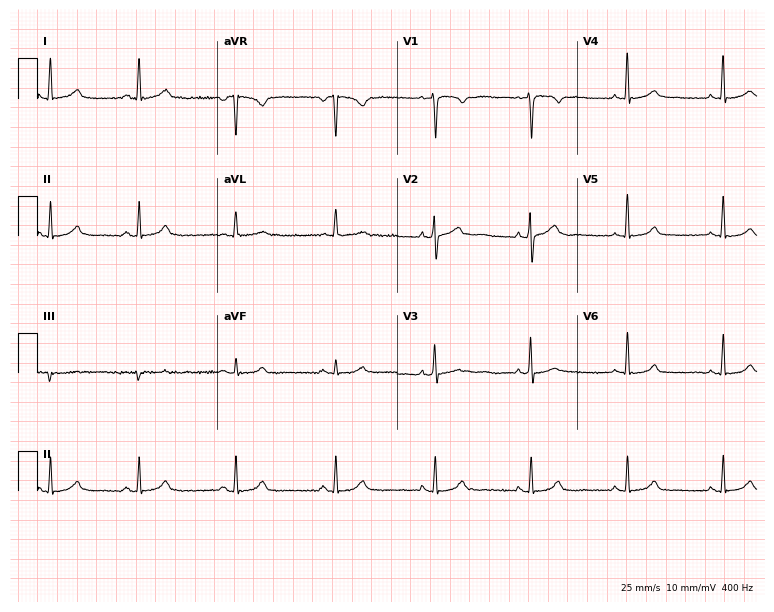
Resting 12-lead electrocardiogram (7.3-second recording at 400 Hz). Patient: a female, 30 years old. Read as a normal ECG.